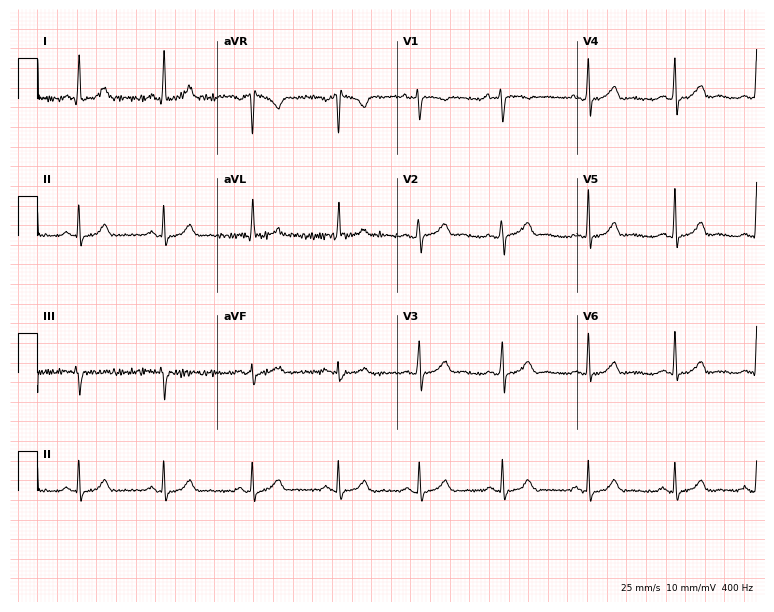
12-lead ECG from a woman, 27 years old (7.3-second recording at 400 Hz). Recorded interpretation: within normal limits.